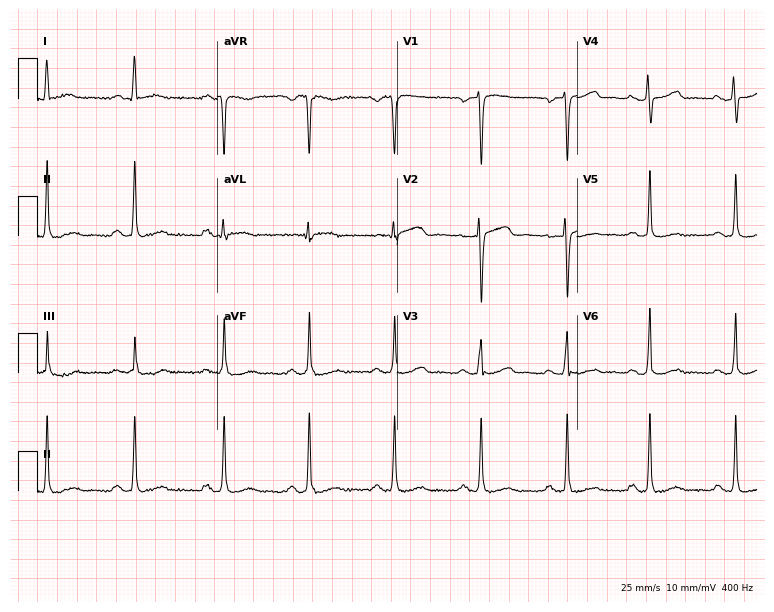
Electrocardiogram (7.3-second recording at 400 Hz), a female patient, 63 years old. Of the six screened findings (first-degree AV block, right bundle branch block (RBBB), left bundle branch block (LBBB), sinus bradycardia, atrial fibrillation (AF), sinus tachycardia), none is recorded. Findings outside these six are not listed.